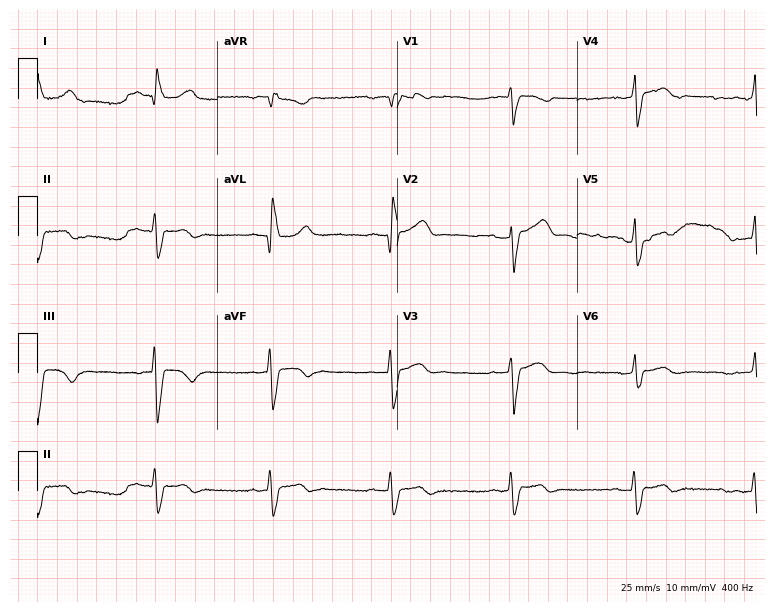
Electrocardiogram (7.3-second recording at 400 Hz), a 34-year-old woman. Interpretation includes first-degree AV block, sinus bradycardia (a sinus rate of 50 beats per minute or less).